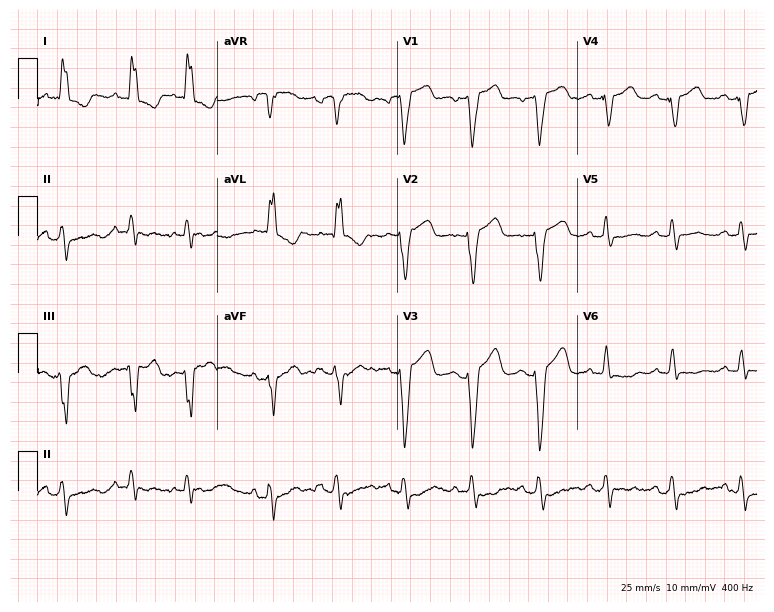
Electrocardiogram (7.3-second recording at 400 Hz), an 85-year-old woman. Interpretation includes left bundle branch block.